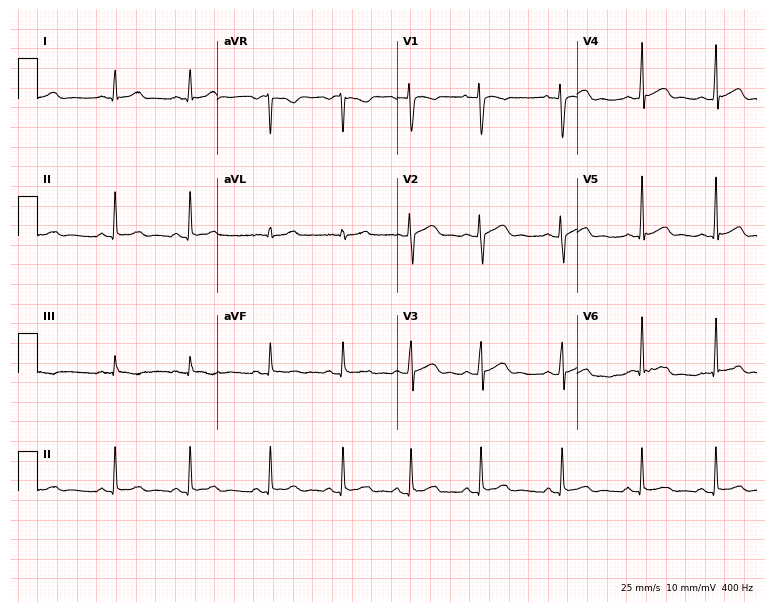
ECG — a 17-year-old female patient. Labelled as a normal ECG.